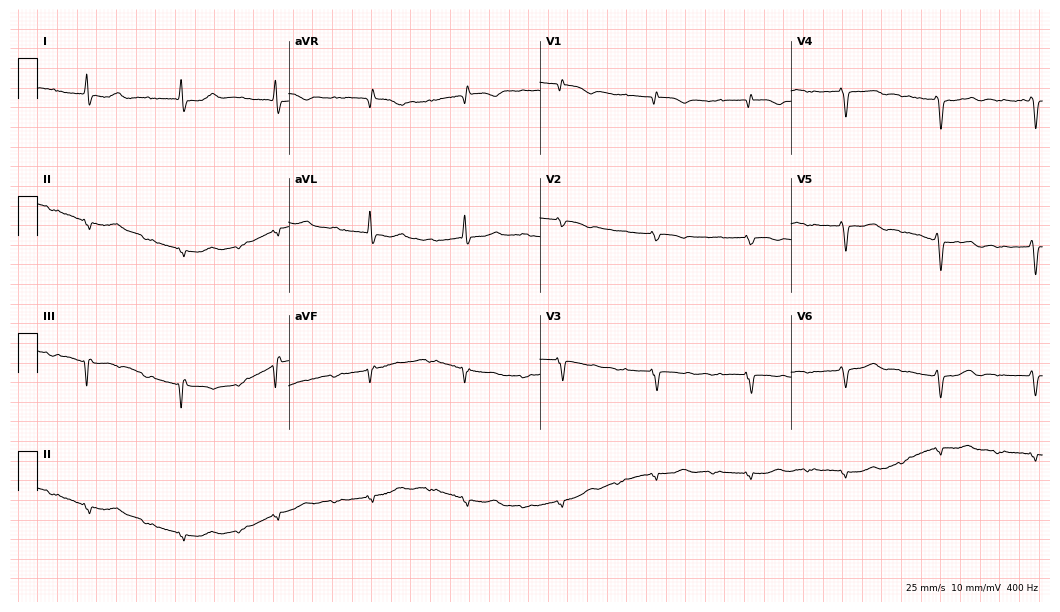
12-lead ECG from an 82-year-old woman. Screened for six findings — first-degree AV block, right bundle branch block (RBBB), left bundle branch block (LBBB), sinus bradycardia, atrial fibrillation (AF), sinus tachycardia — none is recorded.